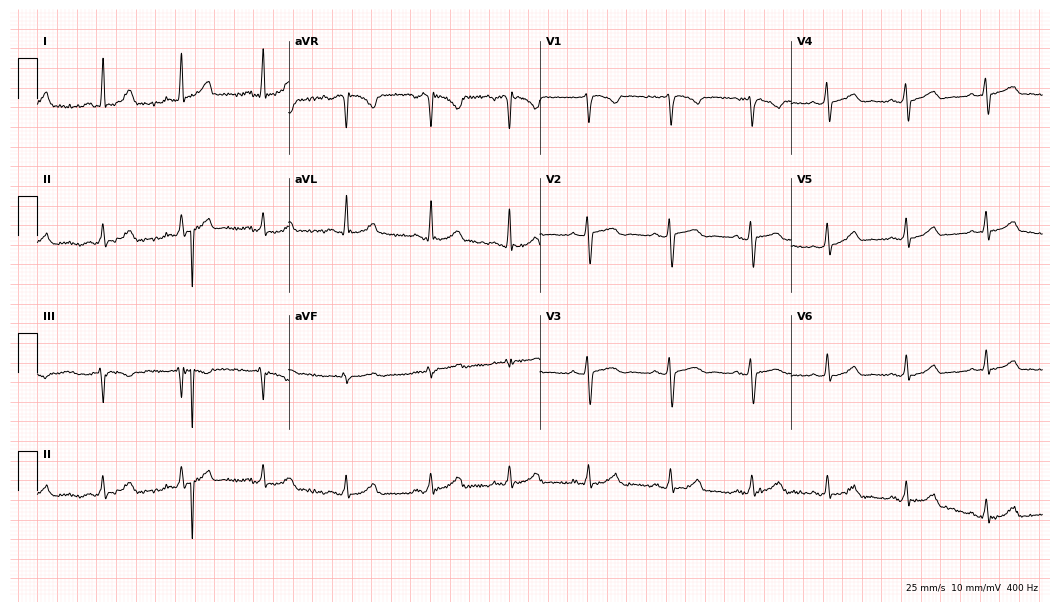
12-lead ECG from a woman, 38 years old (10.2-second recording at 400 Hz). Recorded interpretation: within normal limits.